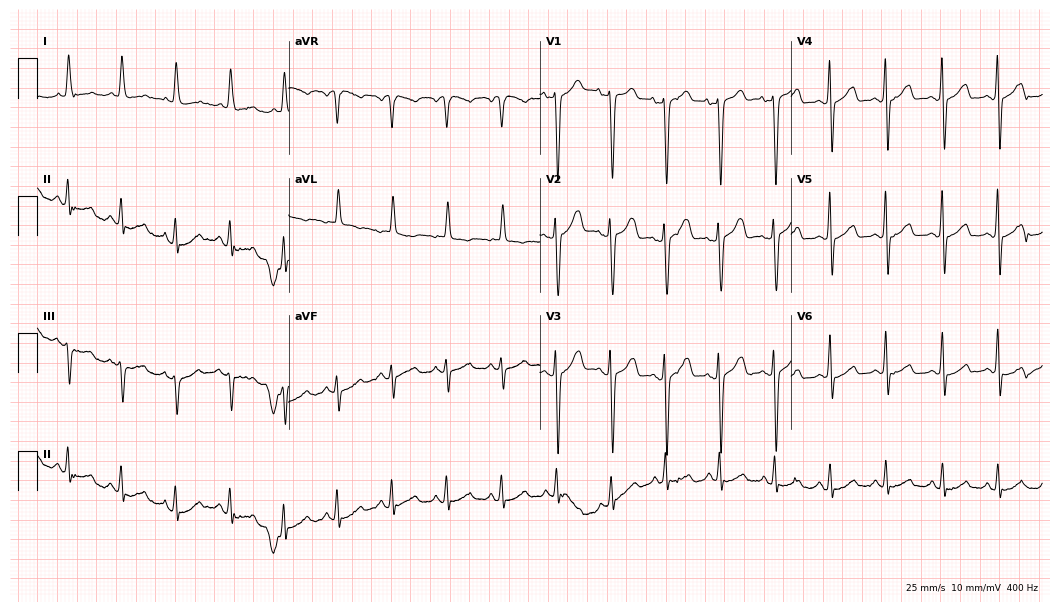
ECG — a 74-year-old female patient. Screened for six findings — first-degree AV block, right bundle branch block, left bundle branch block, sinus bradycardia, atrial fibrillation, sinus tachycardia — none is recorded. Findings outside these six are not listed.